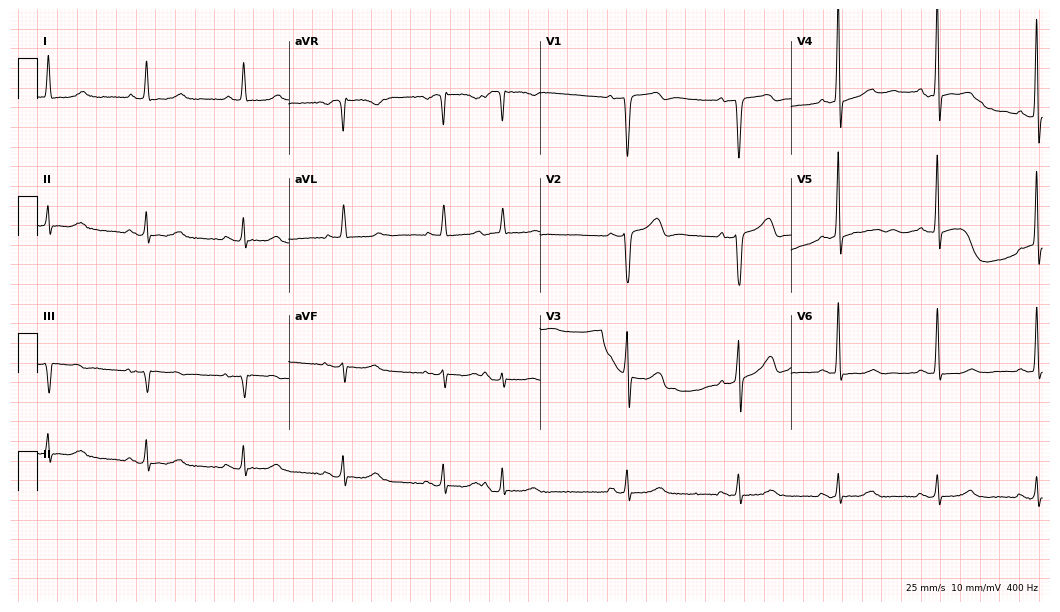
ECG — a man, 64 years old. Screened for six findings — first-degree AV block, right bundle branch block, left bundle branch block, sinus bradycardia, atrial fibrillation, sinus tachycardia — none is recorded. Findings outside these six are not listed.